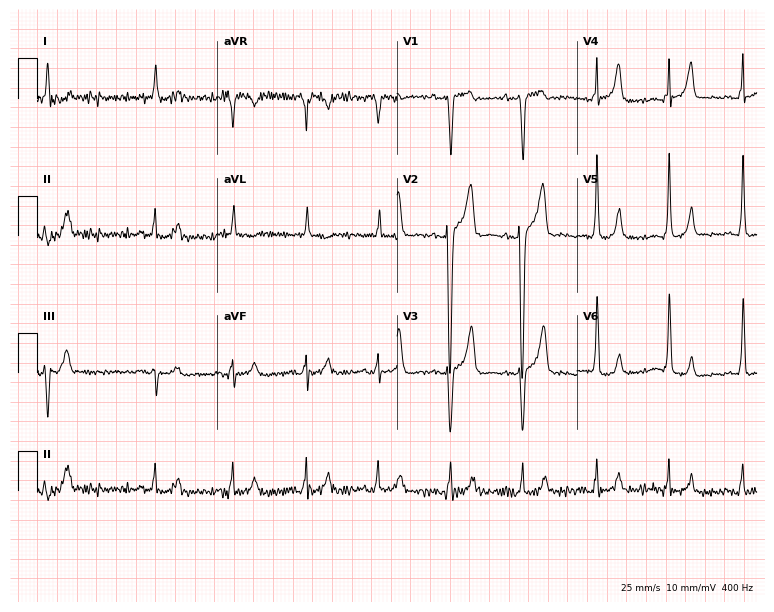
12-lead ECG from a female, 79 years old. Screened for six findings — first-degree AV block, right bundle branch block, left bundle branch block, sinus bradycardia, atrial fibrillation, sinus tachycardia — none is recorded.